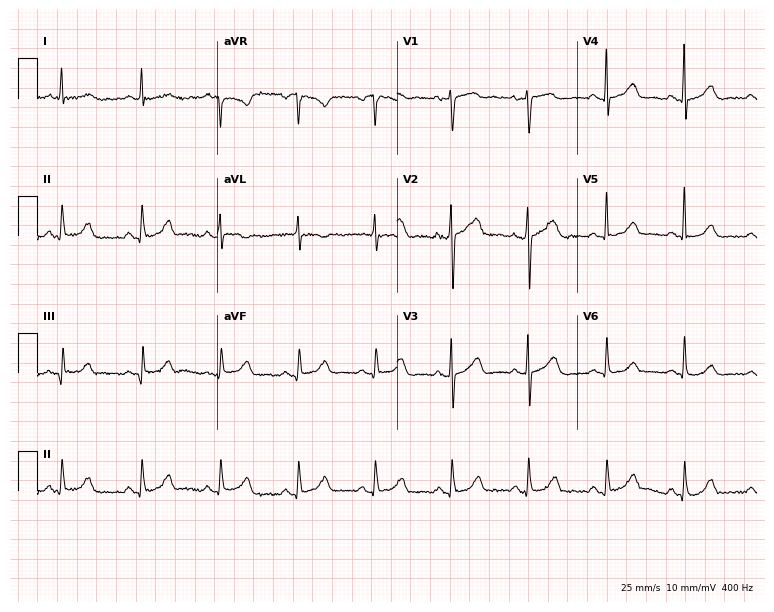
12-lead ECG (7.3-second recording at 400 Hz) from a 75-year-old female patient. Labelled as a normal ECG.